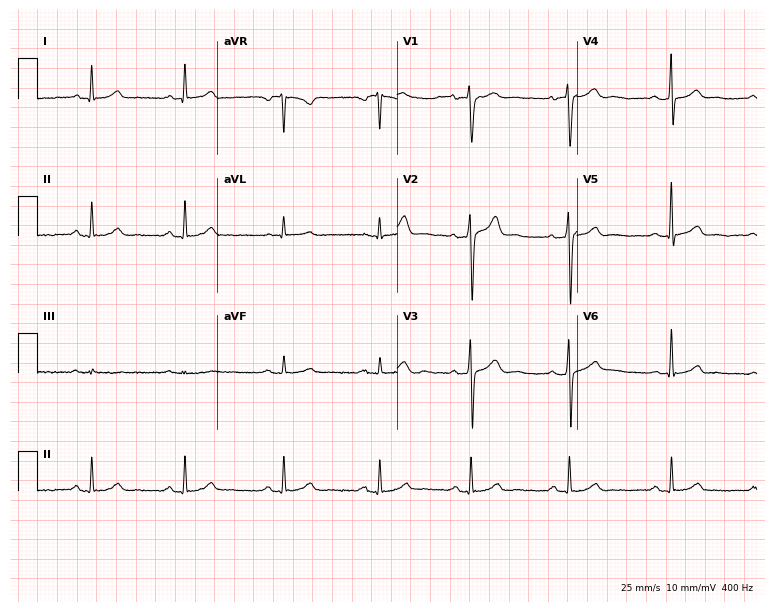
ECG — a 35-year-old man. Labelled as a normal ECG.